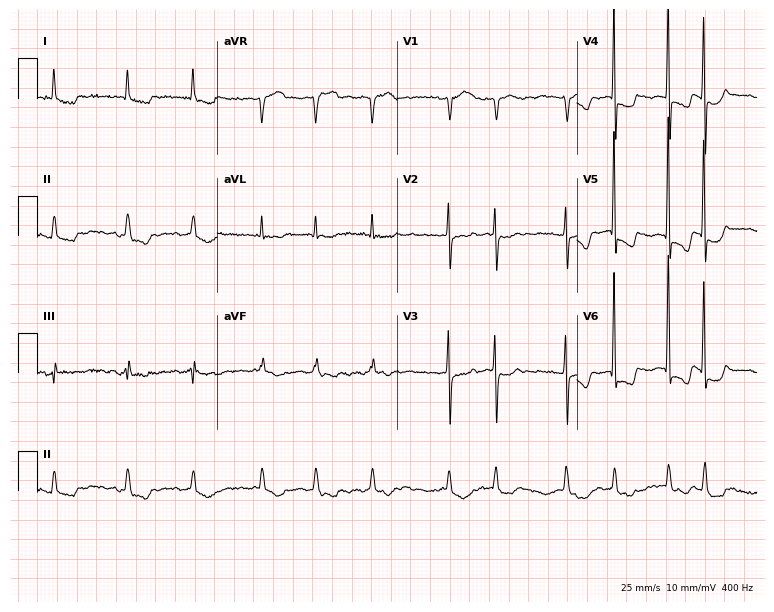
12-lead ECG from an 85-year-old woman (7.3-second recording at 400 Hz). Shows atrial fibrillation.